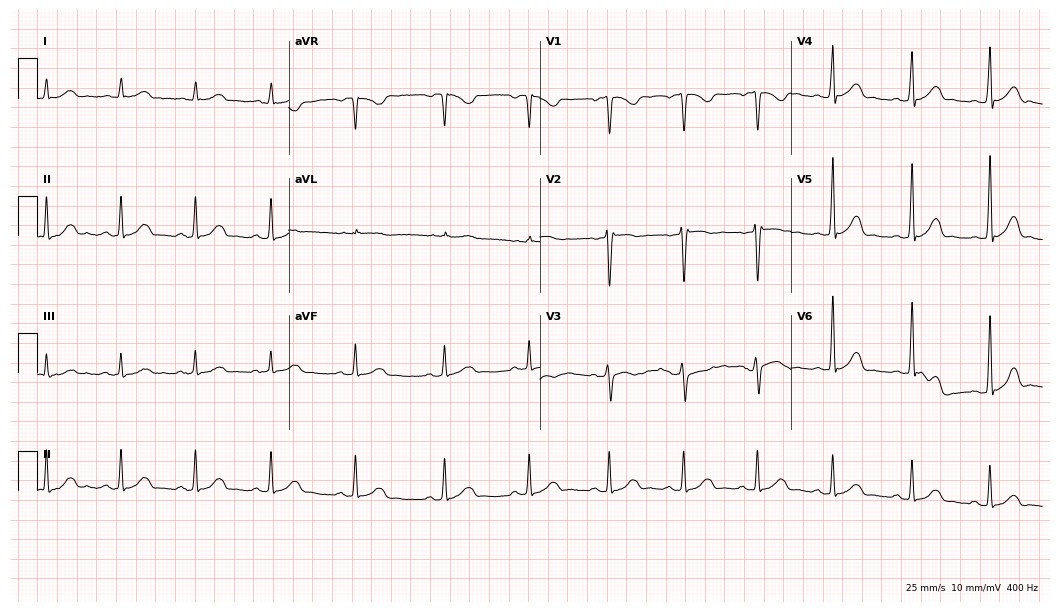
Standard 12-lead ECG recorded from a 39-year-old female (10.2-second recording at 400 Hz). Read as a normal ECG.